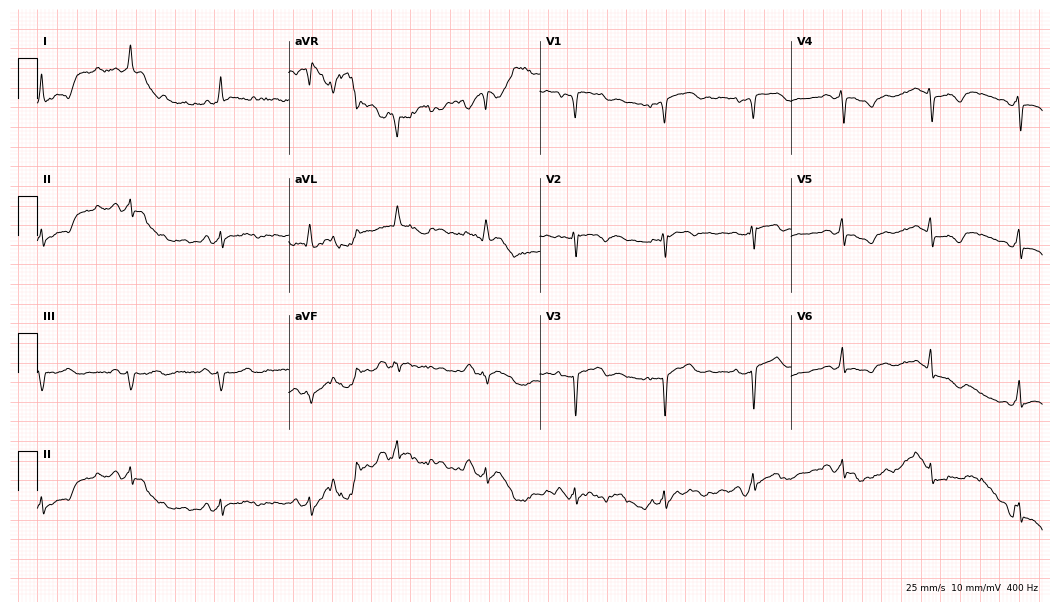
12-lead ECG (10.2-second recording at 400 Hz) from a 68-year-old woman. Screened for six findings — first-degree AV block, right bundle branch block, left bundle branch block, sinus bradycardia, atrial fibrillation, sinus tachycardia — none is recorded.